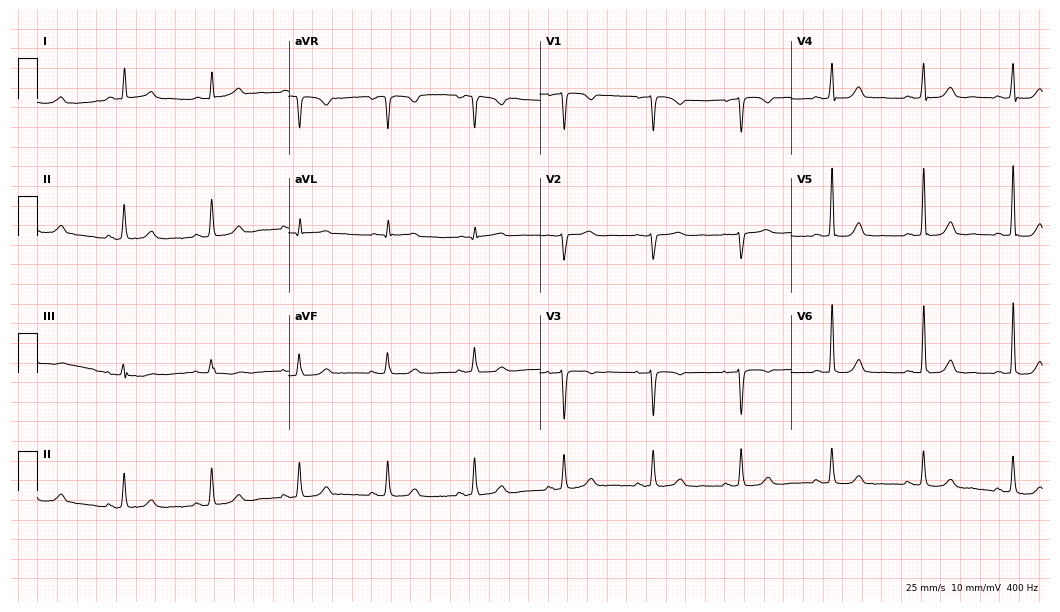
12-lead ECG from a female patient, 69 years old. No first-degree AV block, right bundle branch block (RBBB), left bundle branch block (LBBB), sinus bradycardia, atrial fibrillation (AF) or sinus tachycardia recorded for this tracing. Only these six findings were labelled.